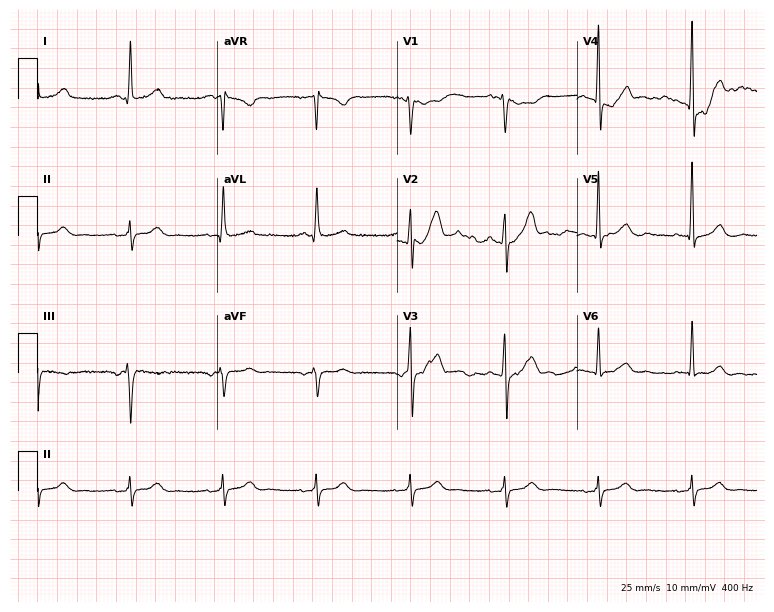
Standard 12-lead ECG recorded from an 81-year-old male patient. Read as a normal ECG.